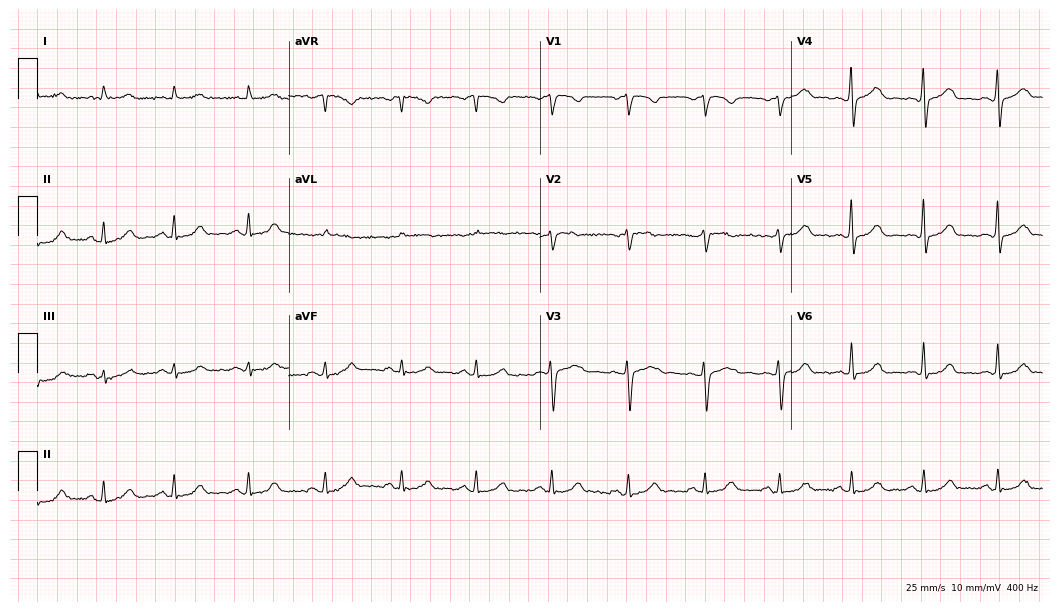
Resting 12-lead electrocardiogram. Patient: a female, 39 years old. Read as a normal ECG.